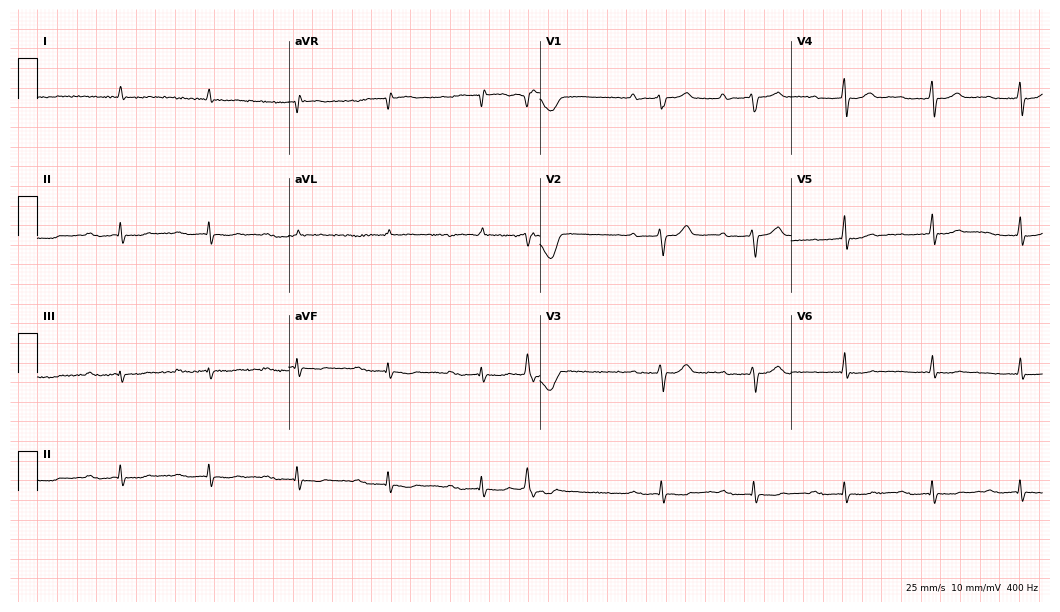
12-lead ECG from a 76-year-old man. Shows first-degree AV block.